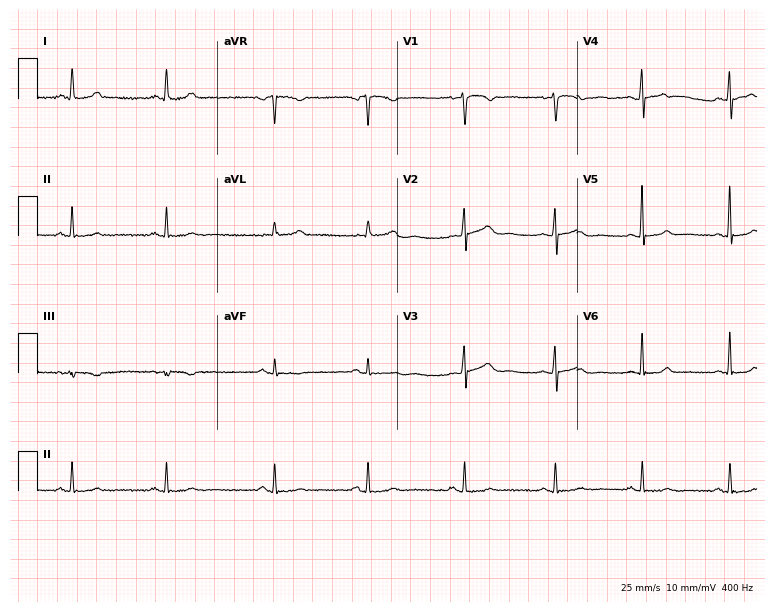
Standard 12-lead ECG recorded from a 44-year-old female patient. None of these six findings is recorded: first-degree AV block, right bundle branch block (RBBB), left bundle branch block (LBBB), sinus bradycardia, atrial fibrillation (AF), sinus tachycardia.